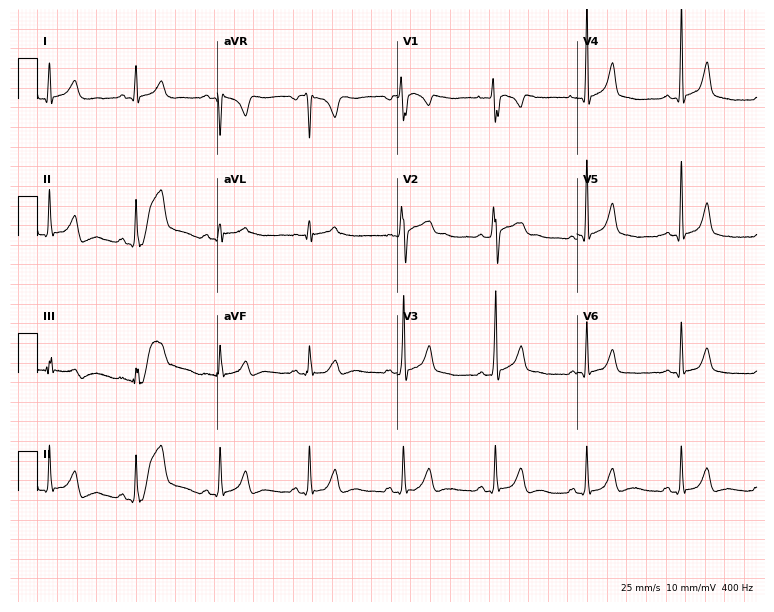
12-lead ECG (7.3-second recording at 400 Hz) from a 19-year-old man. Labelled as a normal ECG.